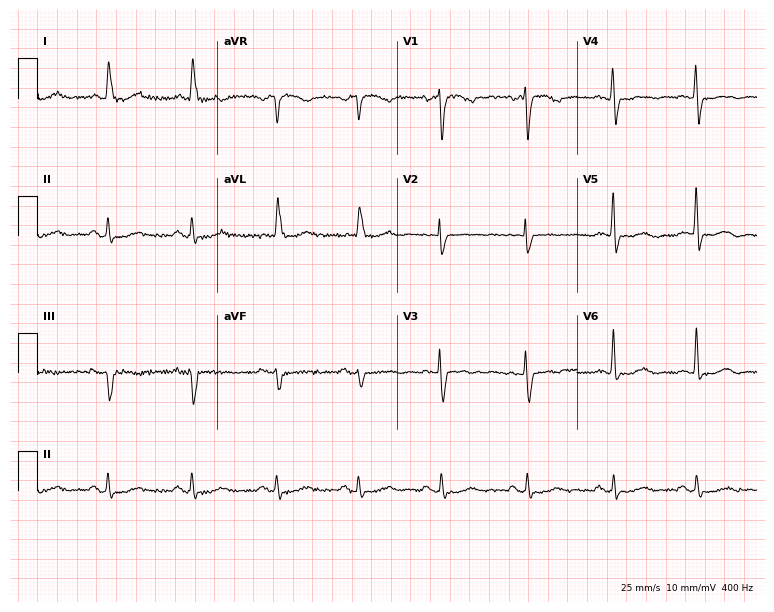
Electrocardiogram (7.3-second recording at 400 Hz), a female, 81 years old. Of the six screened findings (first-degree AV block, right bundle branch block, left bundle branch block, sinus bradycardia, atrial fibrillation, sinus tachycardia), none is recorded. Findings outside these six are not listed.